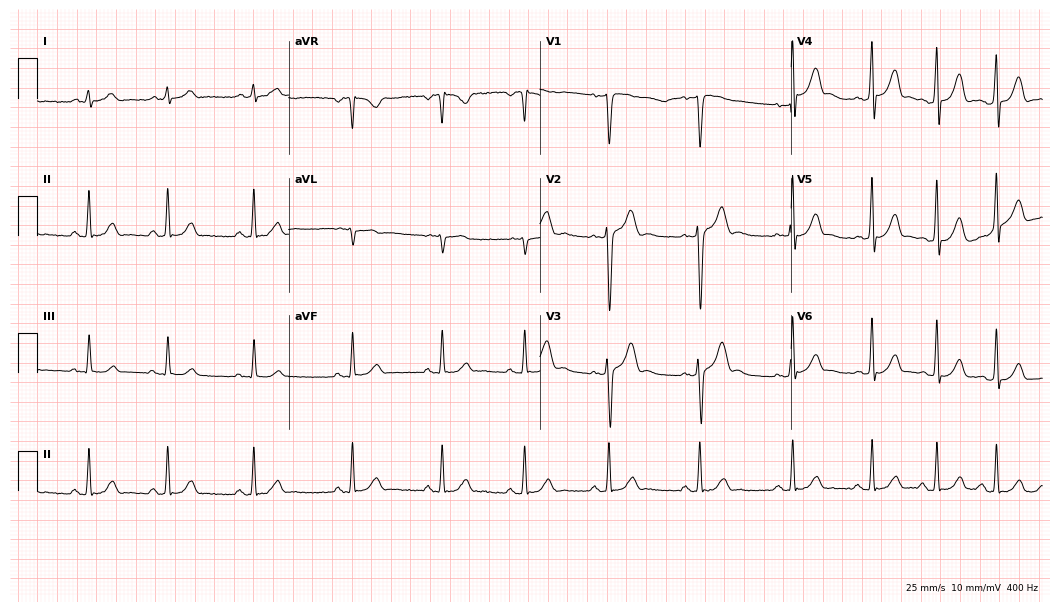
12-lead ECG from a 28-year-old male patient. Recorded interpretation: within normal limits.